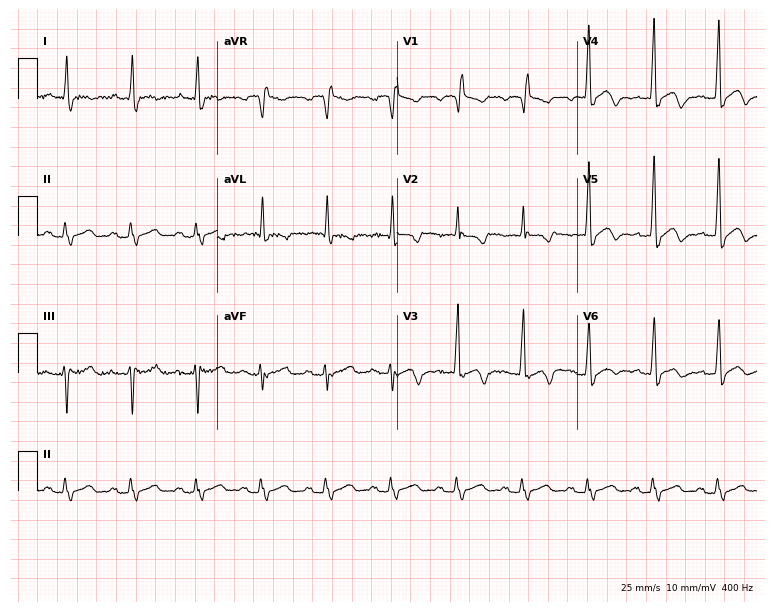
12-lead ECG from an 84-year-old female patient. Screened for six findings — first-degree AV block, right bundle branch block, left bundle branch block, sinus bradycardia, atrial fibrillation, sinus tachycardia — none is recorded.